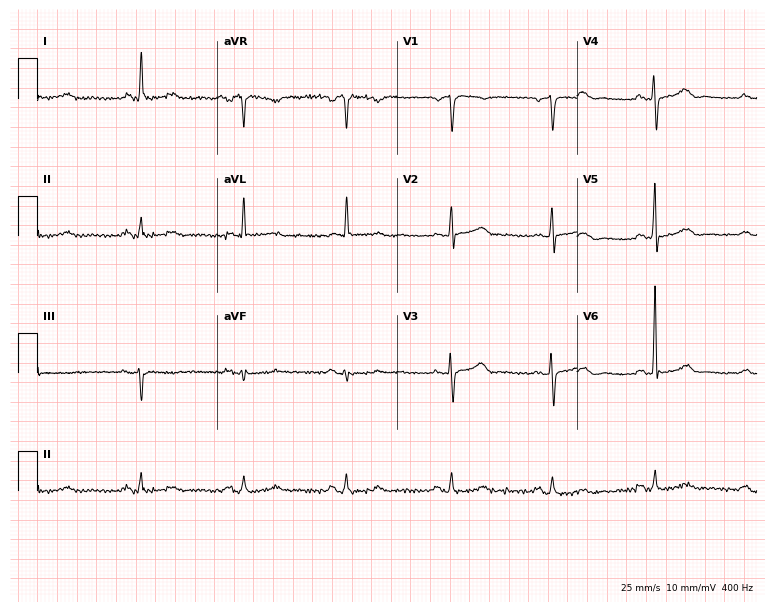
Standard 12-lead ECG recorded from a 74-year-old male. None of these six findings is recorded: first-degree AV block, right bundle branch block (RBBB), left bundle branch block (LBBB), sinus bradycardia, atrial fibrillation (AF), sinus tachycardia. Other findings, if any, are not listed.